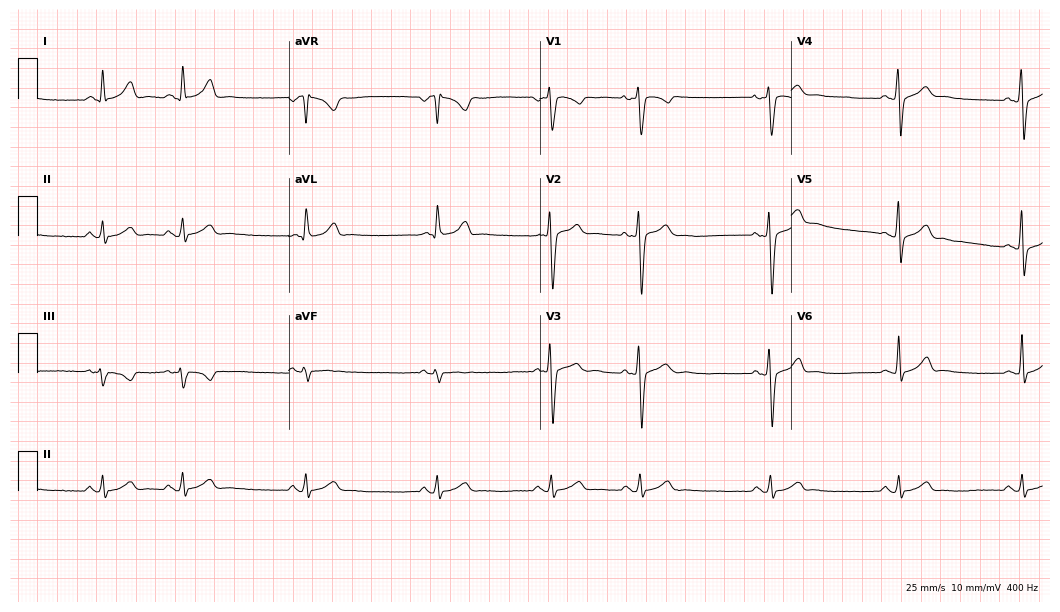
Resting 12-lead electrocardiogram. Patient: a 30-year-old female. Read as a normal ECG.